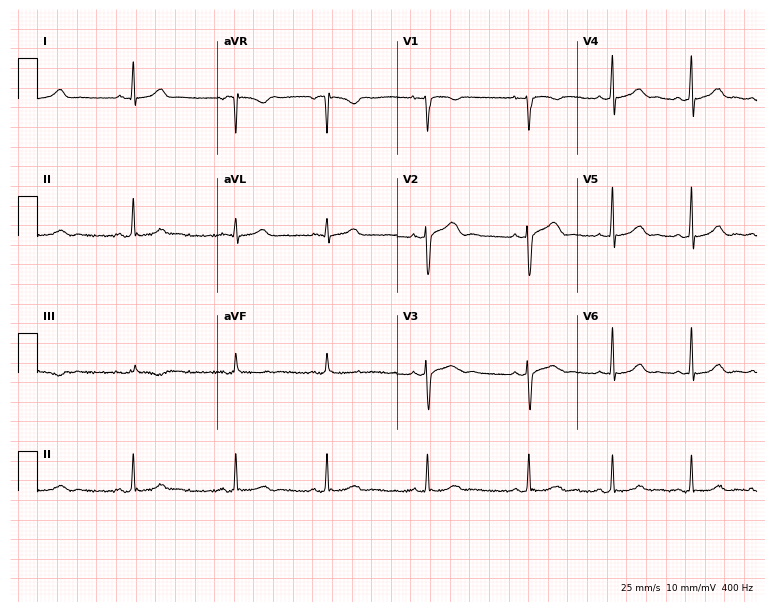
12-lead ECG from a 25-year-old female patient. Recorded interpretation: within normal limits.